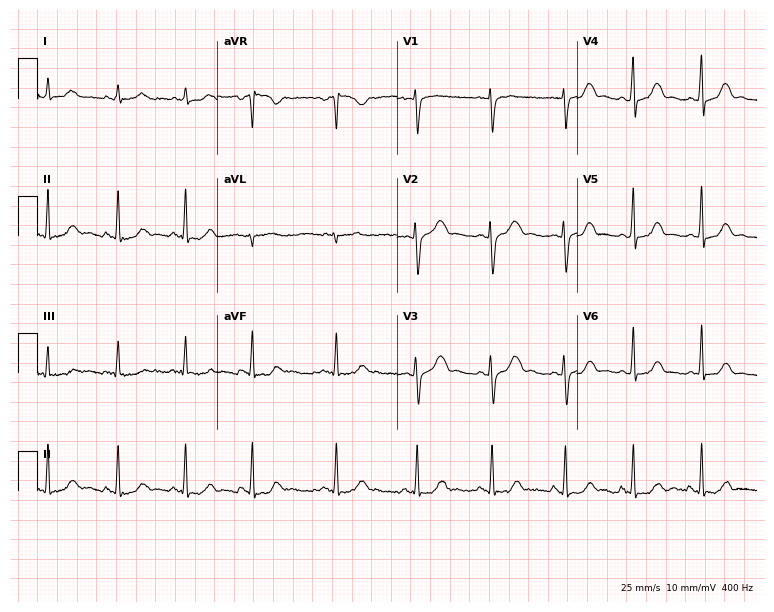
12-lead ECG from a 26-year-old female patient (7.3-second recording at 400 Hz). Recorded interpretation: within normal limits.